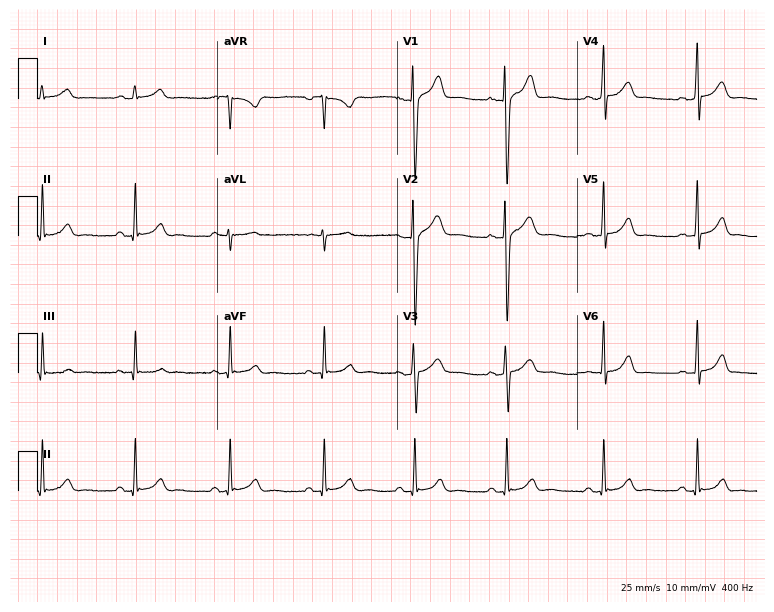
Standard 12-lead ECG recorded from a 20-year-old female patient (7.3-second recording at 400 Hz). None of these six findings is recorded: first-degree AV block, right bundle branch block (RBBB), left bundle branch block (LBBB), sinus bradycardia, atrial fibrillation (AF), sinus tachycardia. Only these six findings were labelled.